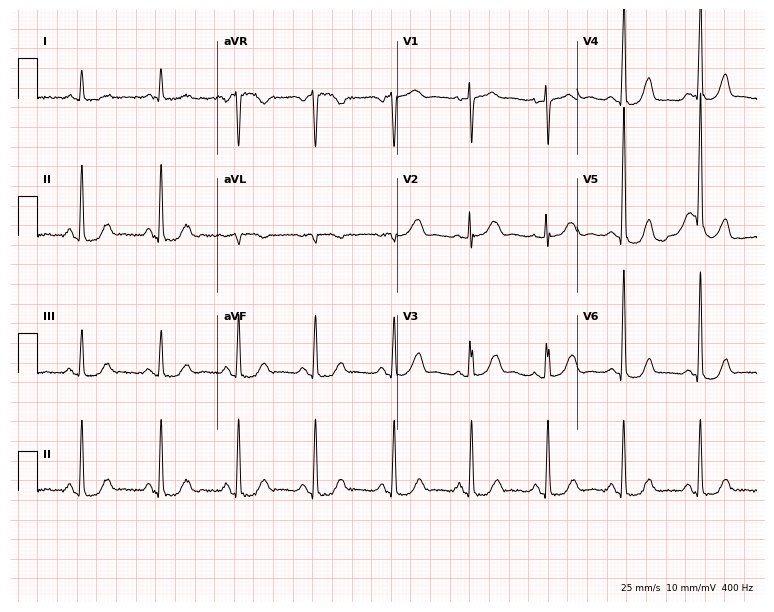
ECG (7.3-second recording at 400 Hz) — a female, 83 years old. Labelled as a normal ECG.